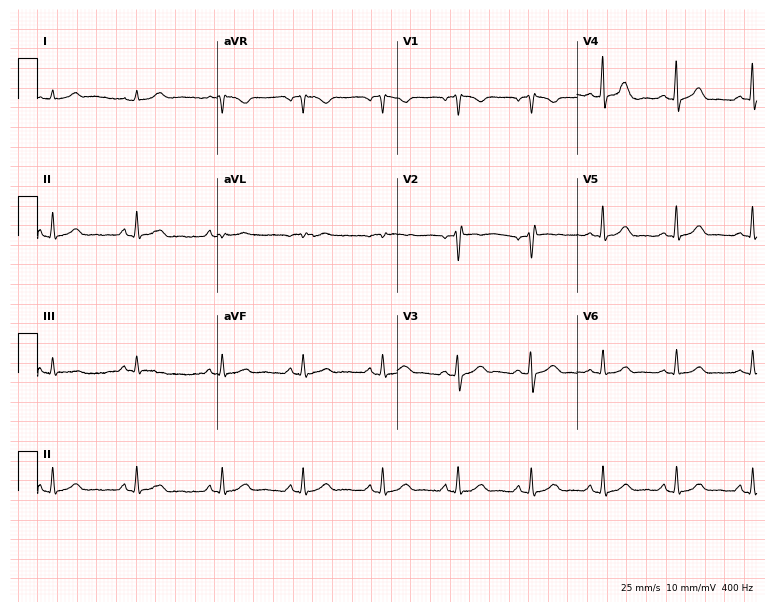
12-lead ECG (7.3-second recording at 400 Hz) from a 43-year-old female. Labelled as a normal ECG.